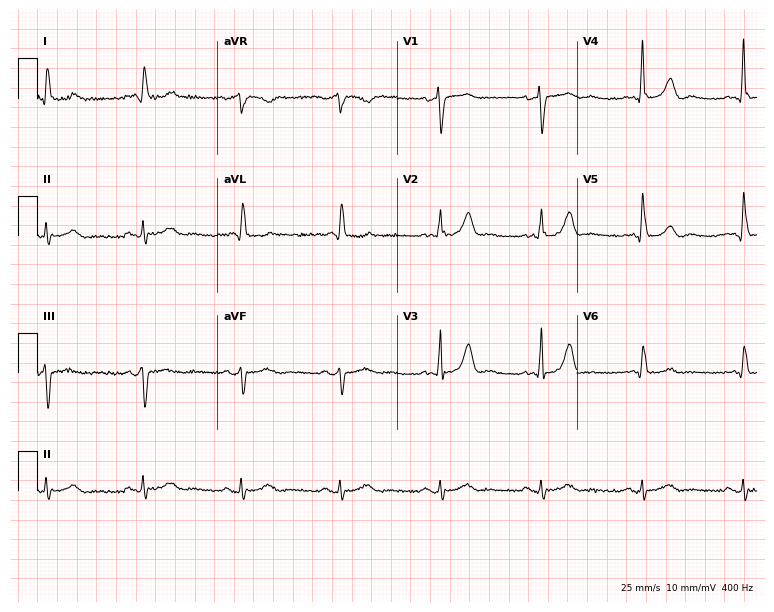
Standard 12-lead ECG recorded from a 77-year-old male. Read as a normal ECG.